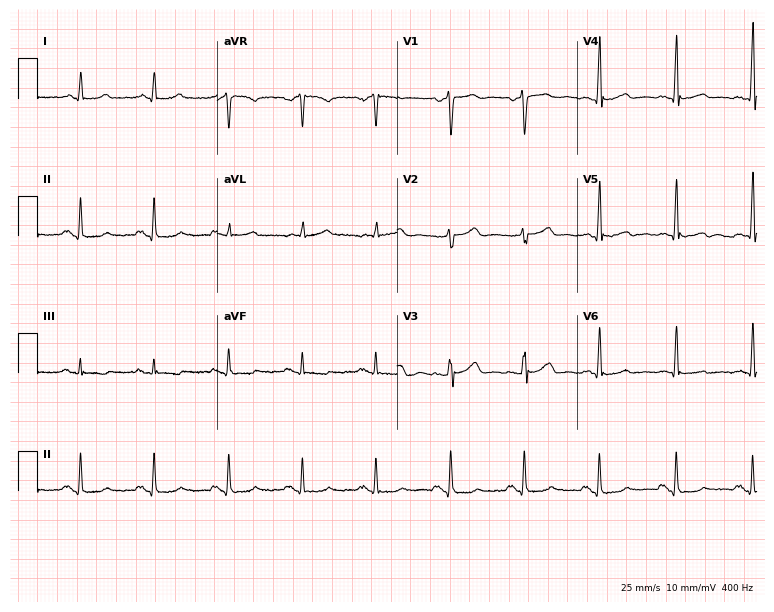
ECG (7.3-second recording at 400 Hz) — a male patient, 48 years old. Screened for six findings — first-degree AV block, right bundle branch block, left bundle branch block, sinus bradycardia, atrial fibrillation, sinus tachycardia — none is recorded.